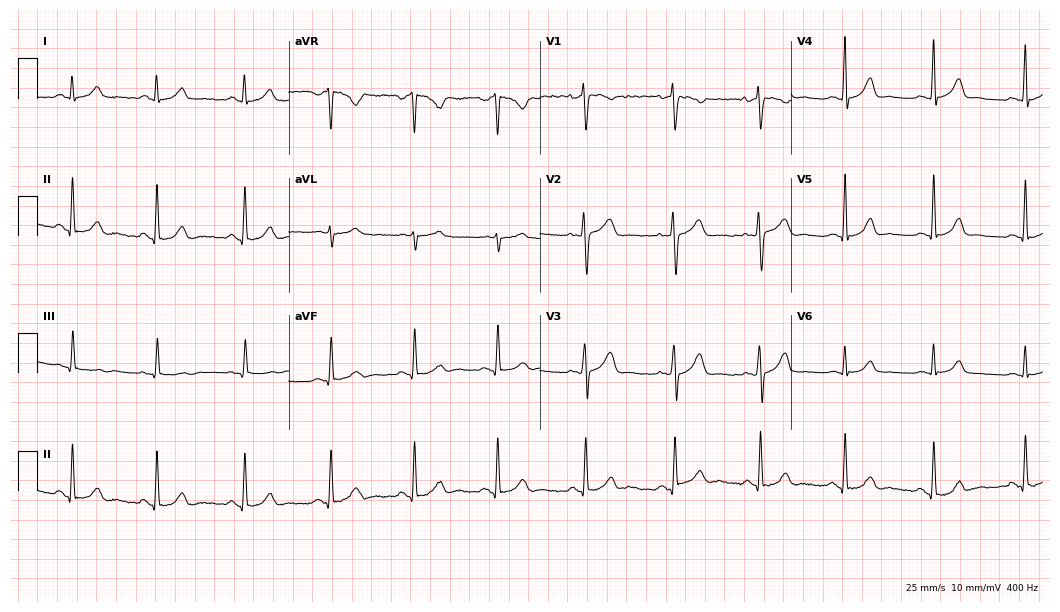
ECG — a female patient, 28 years old. Screened for six findings — first-degree AV block, right bundle branch block (RBBB), left bundle branch block (LBBB), sinus bradycardia, atrial fibrillation (AF), sinus tachycardia — none is recorded.